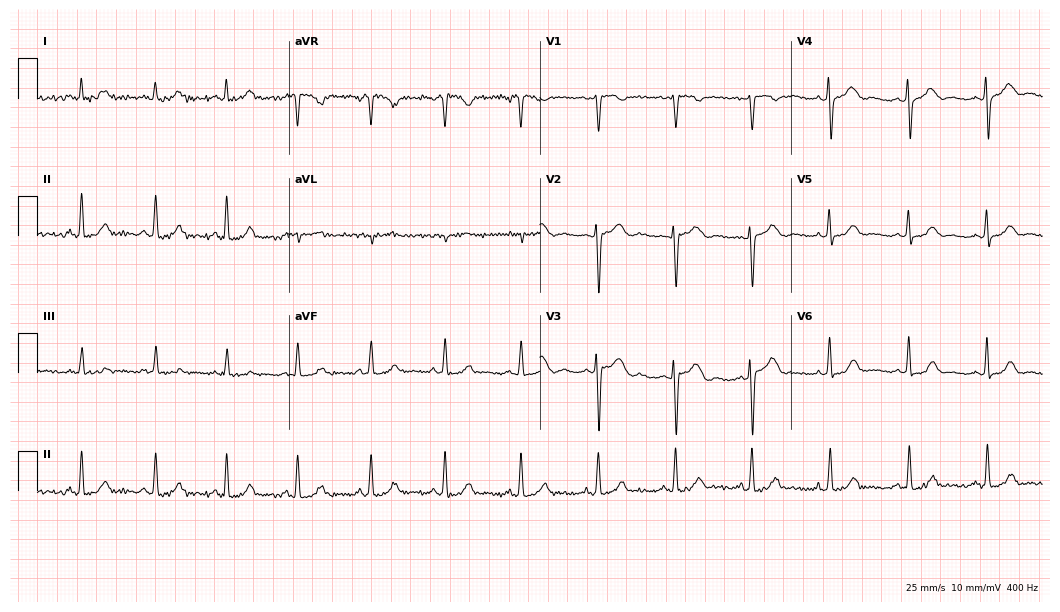
Standard 12-lead ECG recorded from a 39-year-old woman (10.2-second recording at 400 Hz). Read as a normal ECG.